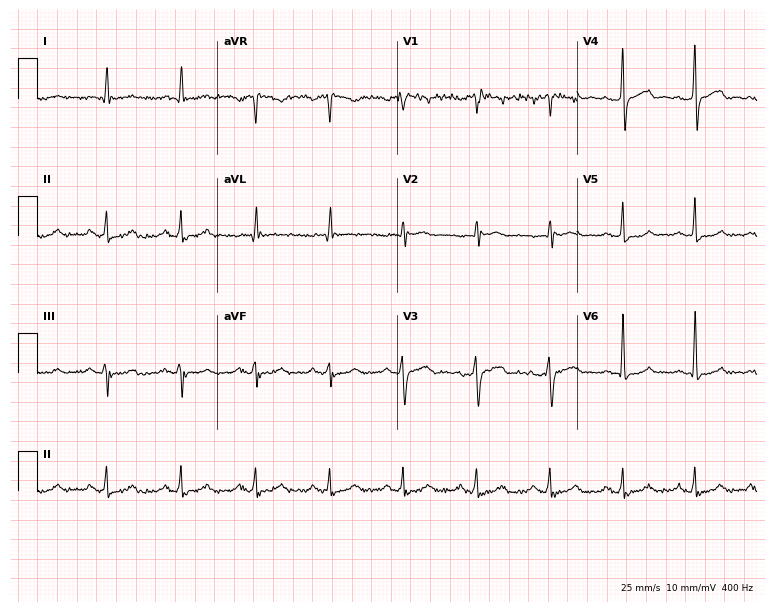
Resting 12-lead electrocardiogram. Patient: a male, 61 years old. None of these six findings is recorded: first-degree AV block, right bundle branch block, left bundle branch block, sinus bradycardia, atrial fibrillation, sinus tachycardia.